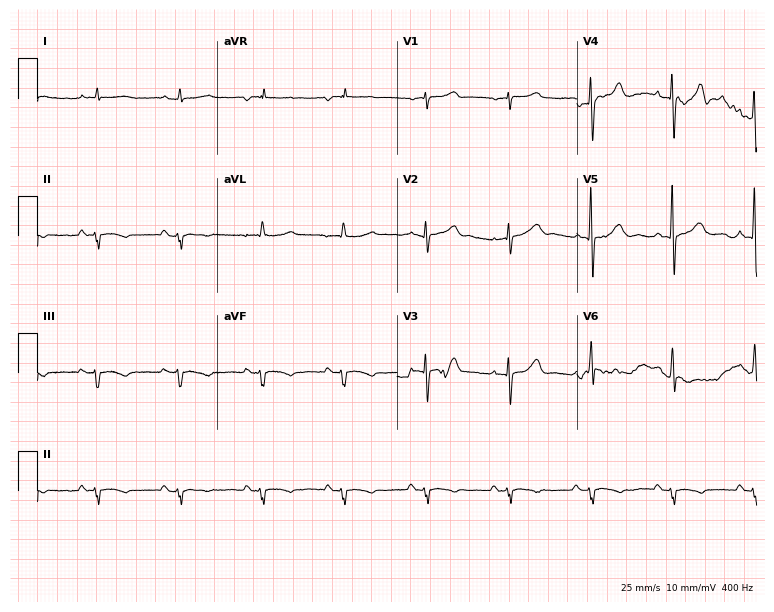
Standard 12-lead ECG recorded from a man, 75 years old. None of these six findings is recorded: first-degree AV block, right bundle branch block, left bundle branch block, sinus bradycardia, atrial fibrillation, sinus tachycardia. Other findings, if any, are not listed.